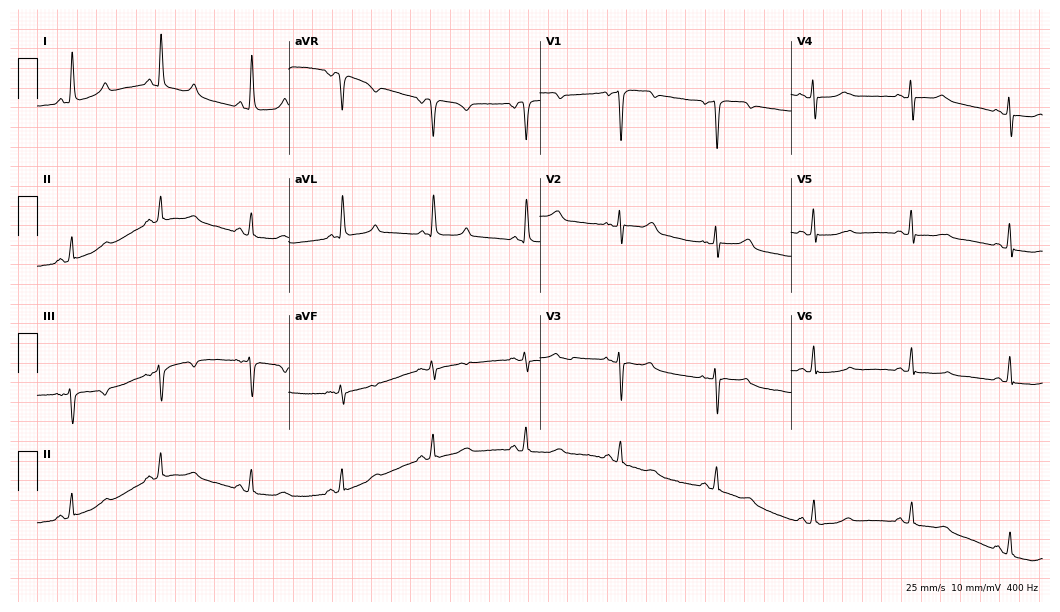
12-lead ECG from a 46-year-old woman. No first-degree AV block, right bundle branch block, left bundle branch block, sinus bradycardia, atrial fibrillation or sinus tachycardia recorded for this tracing. Only these six findings were labelled.